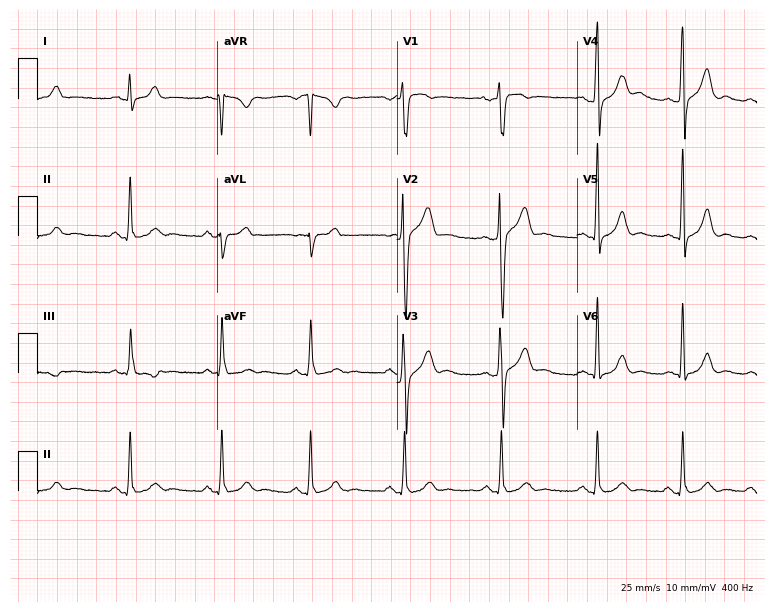
Standard 12-lead ECG recorded from a man, 38 years old (7.3-second recording at 400 Hz). Read as a normal ECG.